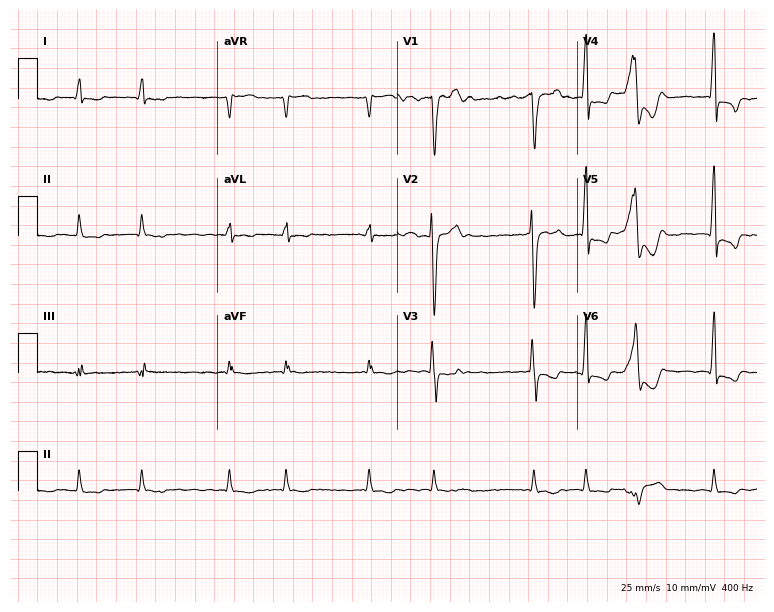
Resting 12-lead electrocardiogram (7.3-second recording at 400 Hz). Patient: a 78-year-old man. The tracing shows atrial fibrillation.